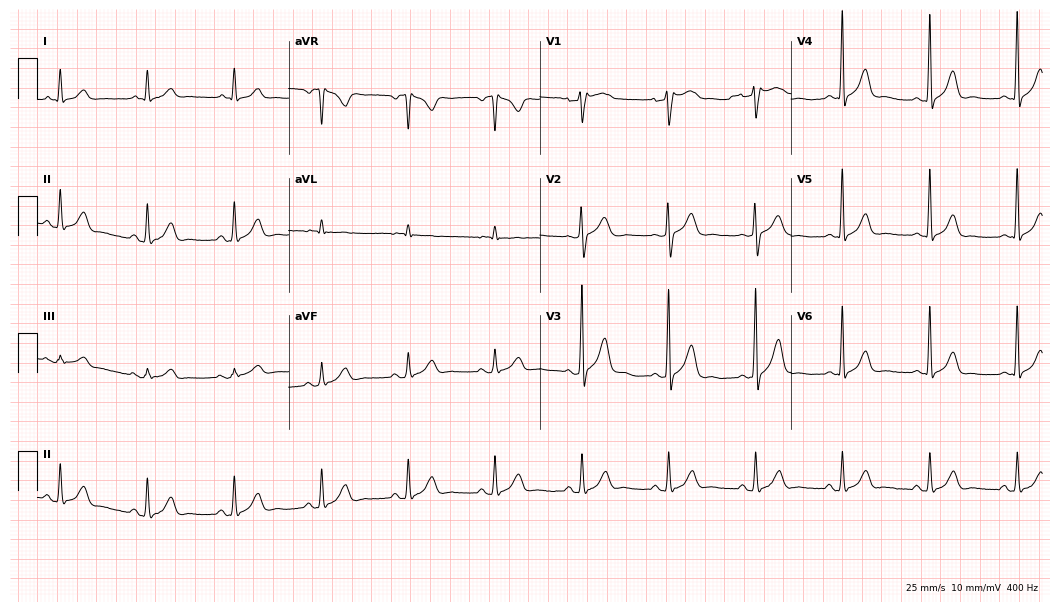
12-lead ECG (10.2-second recording at 400 Hz) from an 81-year-old male. Screened for six findings — first-degree AV block, right bundle branch block, left bundle branch block, sinus bradycardia, atrial fibrillation, sinus tachycardia — none is recorded.